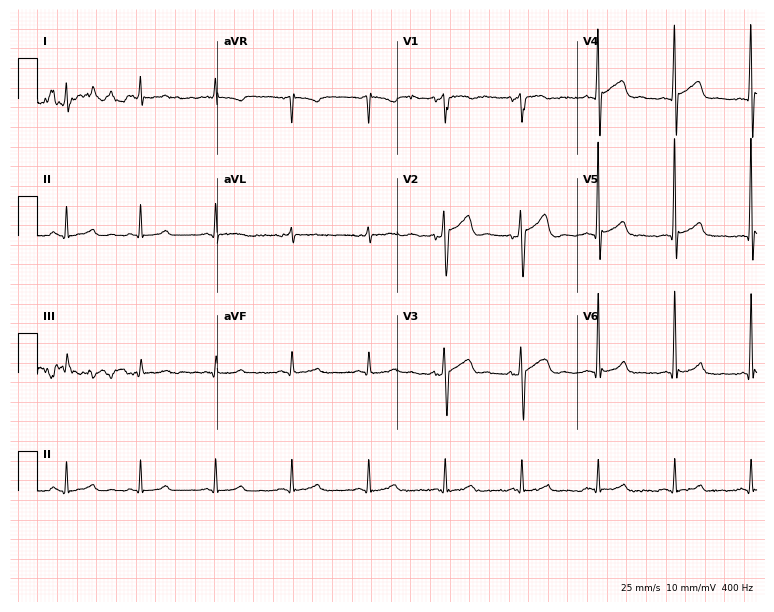
ECG (7.3-second recording at 400 Hz) — a man, 45 years old. Labelled as a normal ECG.